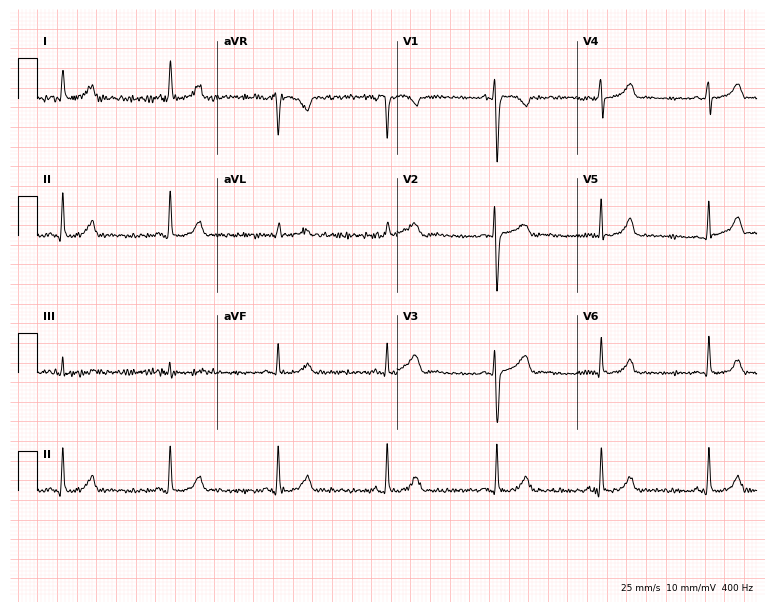
Resting 12-lead electrocardiogram (7.3-second recording at 400 Hz). Patient: a woman, 20 years old. None of these six findings is recorded: first-degree AV block, right bundle branch block (RBBB), left bundle branch block (LBBB), sinus bradycardia, atrial fibrillation (AF), sinus tachycardia.